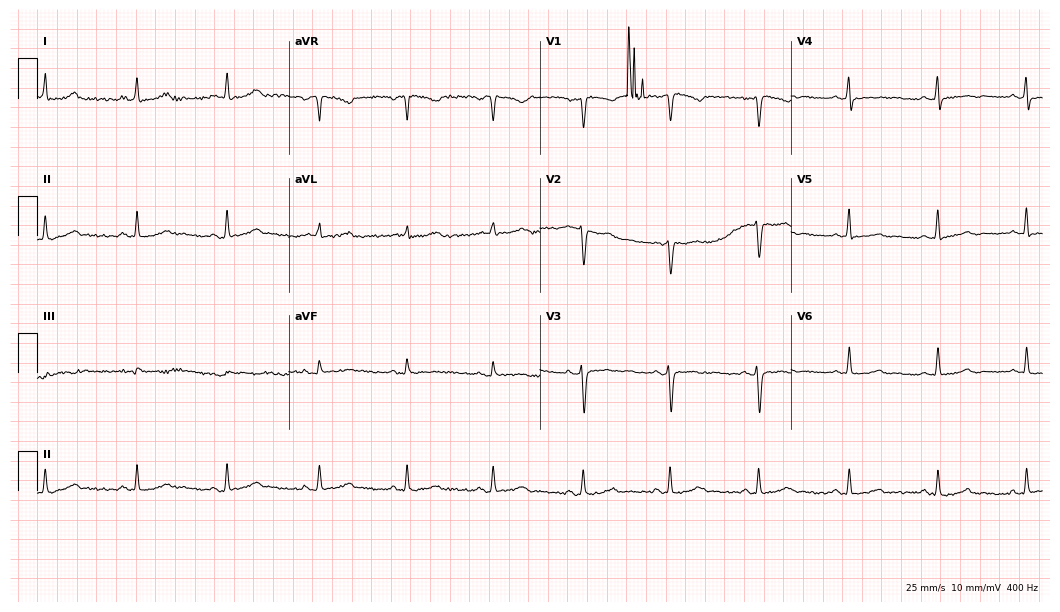
Resting 12-lead electrocardiogram (10.2-second recording at 400 Hz). Patient: a 41-year-old female. Read as a normal ECG.